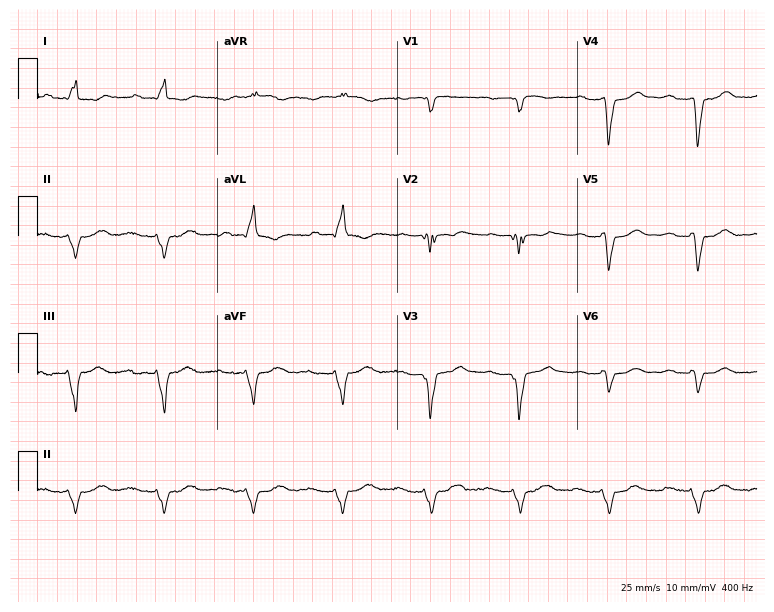
12-lead ECG from a 79-year-old male patient. No first-degree AV block, right bundle branch block, left bundle branch block, sinus bradycardia, atrial fibrillation or sinus tachycardia recorded for this tracing. Findings outside these six are not listed.